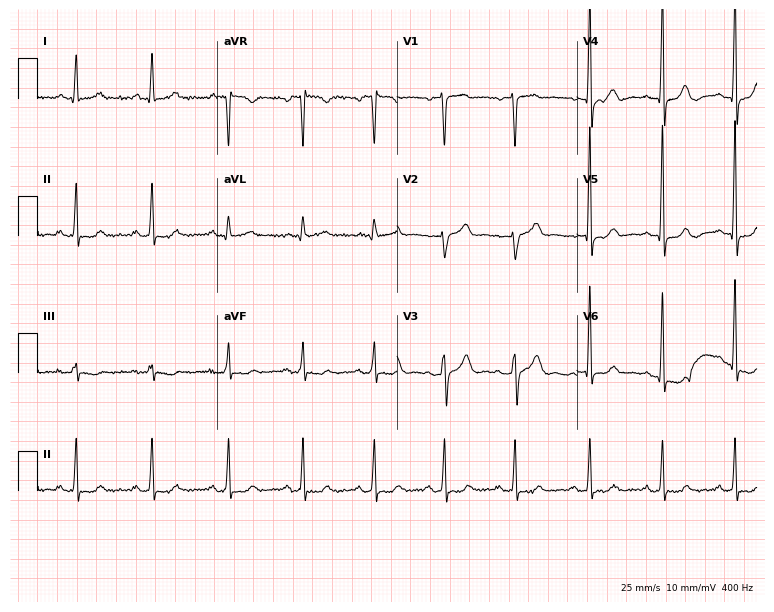
12-lead ECG from a female patient, 55 years old (7.3-second recording at 400 Hz). Recorded interpretation: within normal limits.